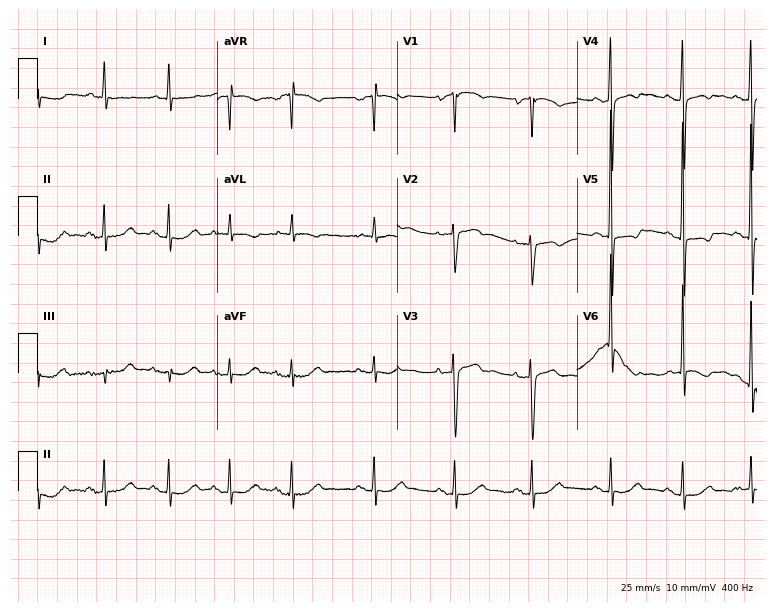
Resting 12-lead electrocardiogram. Patient: a female, 83 years old. None of these six findings is recorded: first-degree AV block, right bundle branch block, left bundle branch block, sinus bradycardia, atrial fibrillation, sinus tachycardia.